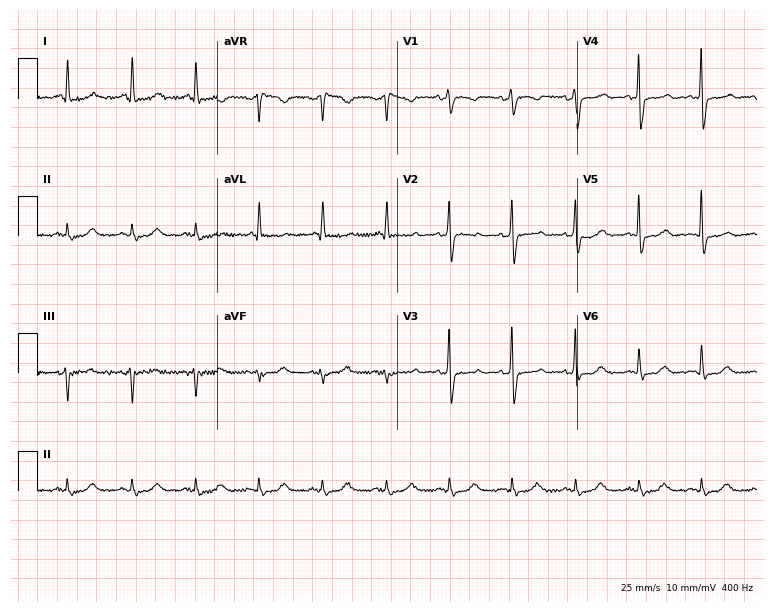
Resting 12-lead electrocardiogram (7.3-second recording at 400 Hz). Patient: a woman, 58 years old. None of these six findings is recorded: first-degree AV block, right bundle branch block, left bundle branch block, sinus bradycardia, atrial fibrillation, sinus tachycardia.